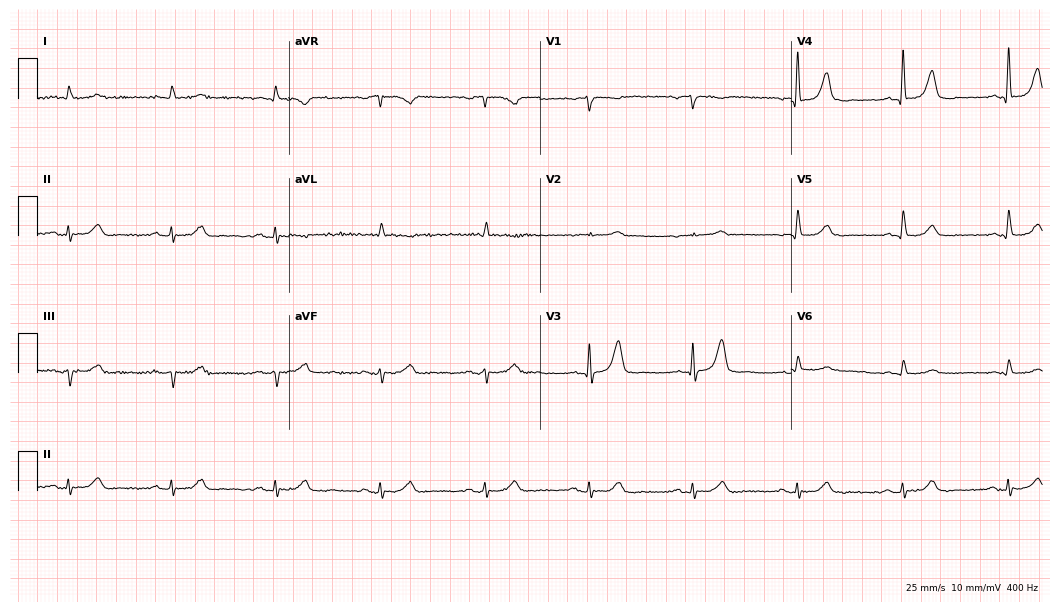
Resting 12-lead electrocardiogram. Patient: an 85-year-old male. Read as a normal ECG.